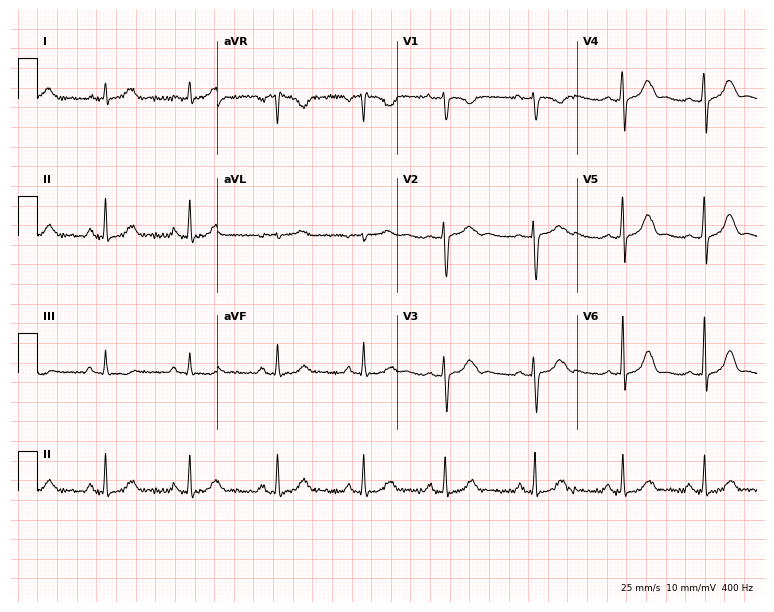
ECG — a 29-year-old woman. Screened for six findings — first-degree AV block, right bundle branch block (RBBB), left bundle branch block (LBBB), sinus bradycardia, atrial fibrillation (AF), sinus tachycardia — none is recorded.